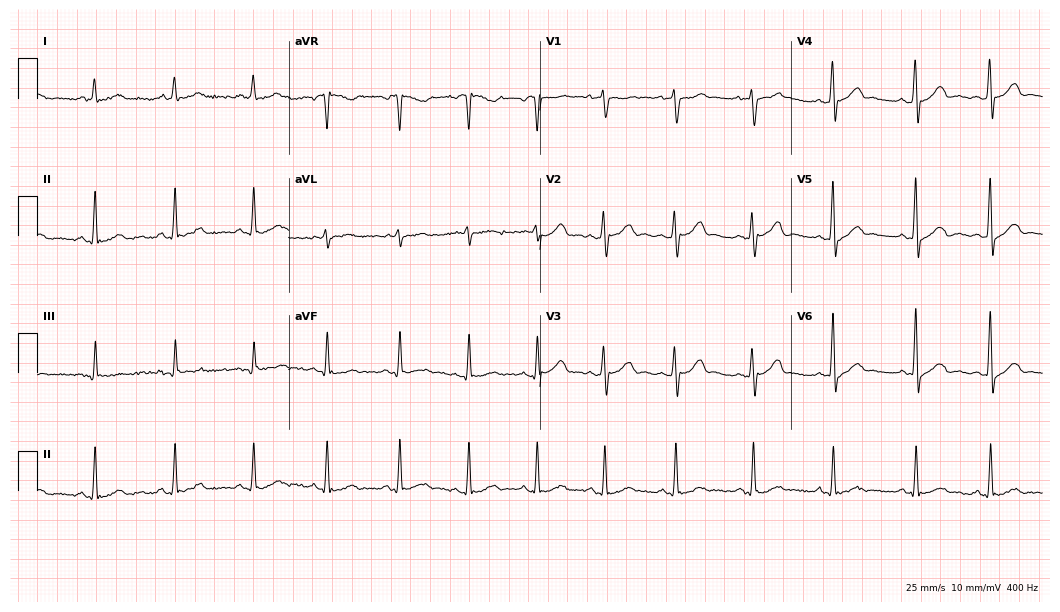
12-lead ECG (10.2-second recording at 400 Hz) from a male, 30 years old. Labelled as a normal ECG.